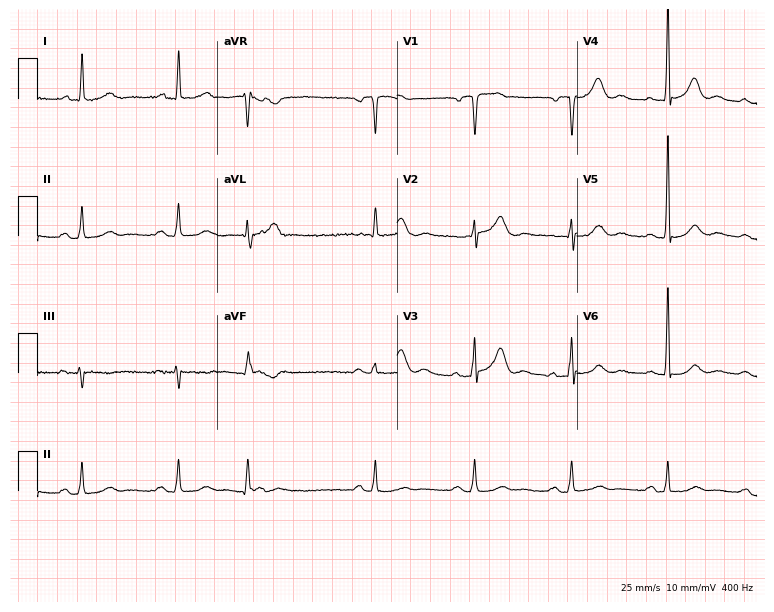
Standard 12-lead ECG recorded from a man, 84 years old (7.3-second recording at 400 Hz). None of these six findings is recorded: first-degree AV block, right bundle branch block, left bundle branch block, sinus bradycardia, atrial fibrillation, sinus tachycardia. Findings outside these six are not listed.